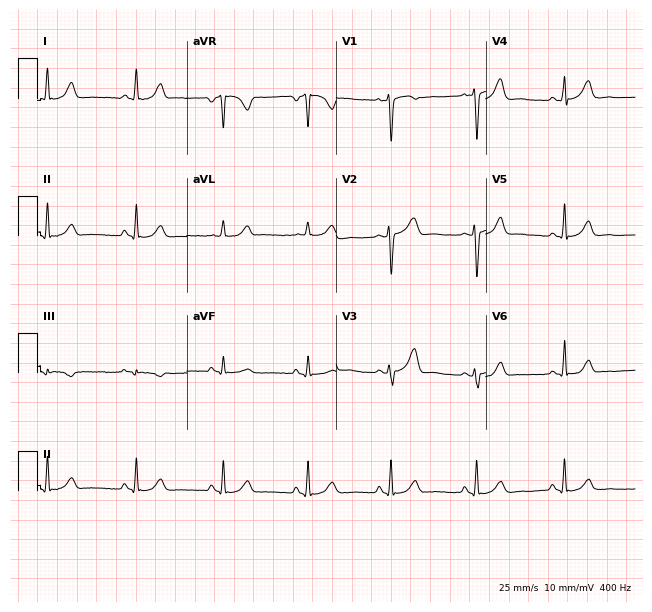
Electrocardiogram (6.1-second recording at 400 Hz), a 21-year-old female patient. Of the six screened findings (first-degree AV block, right bundle branch block, left bundle branch block, sinus bradycardia, atrial fibrillation, sinus tachycardia), none is recorded. Only these six findings were labelled.